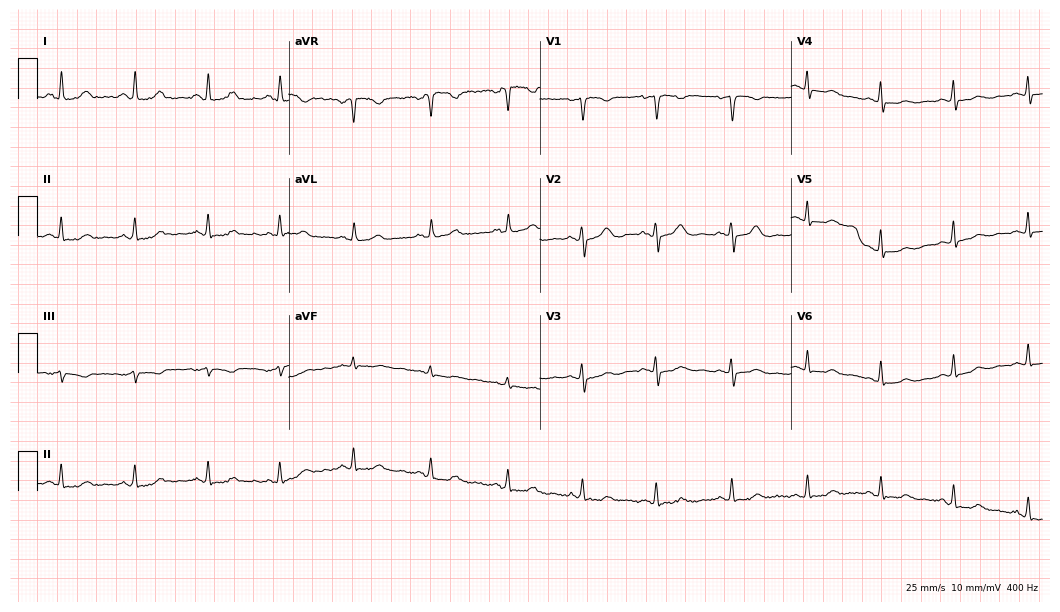
12-lead ECG (10.2-second recording at 400 Hz) from a 45-year-old female. Labelled as a normal ECG.